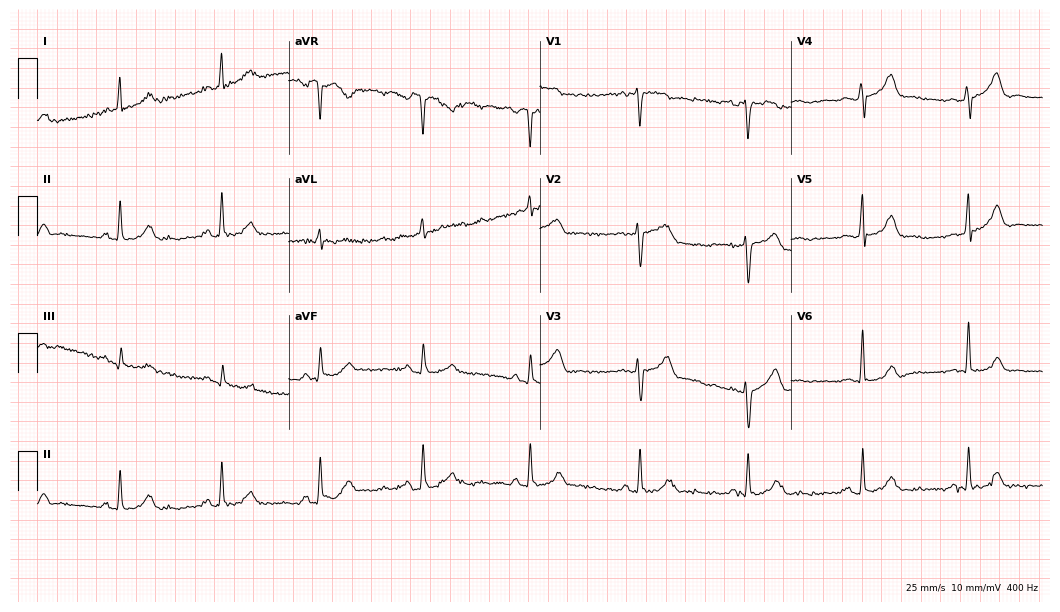
Standard 12-lead ECG recorded from a 53-year-old male. Read as a normal ECG.